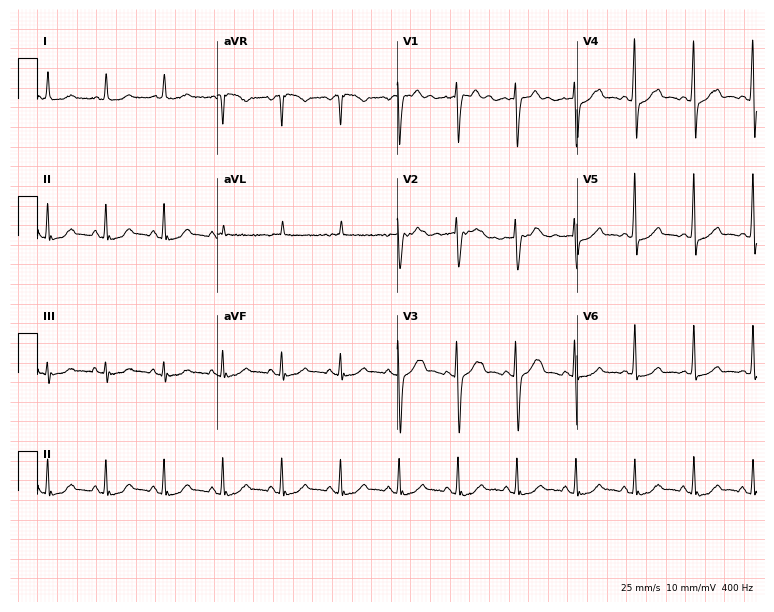
ECG — an 85-year-old female. Labelled as a normal ECG.